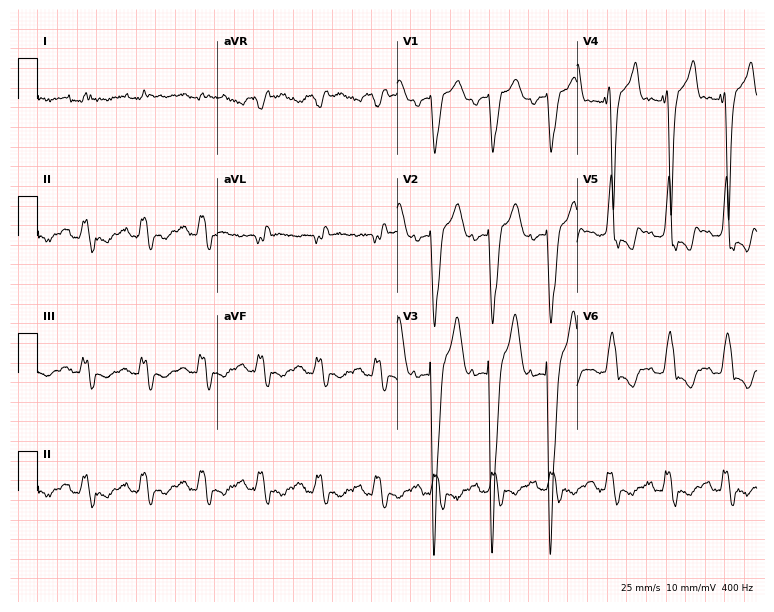
ECG (7.3-second recording at 400 Hz) — a male, 57 years old. Findings include left bundle branch block.